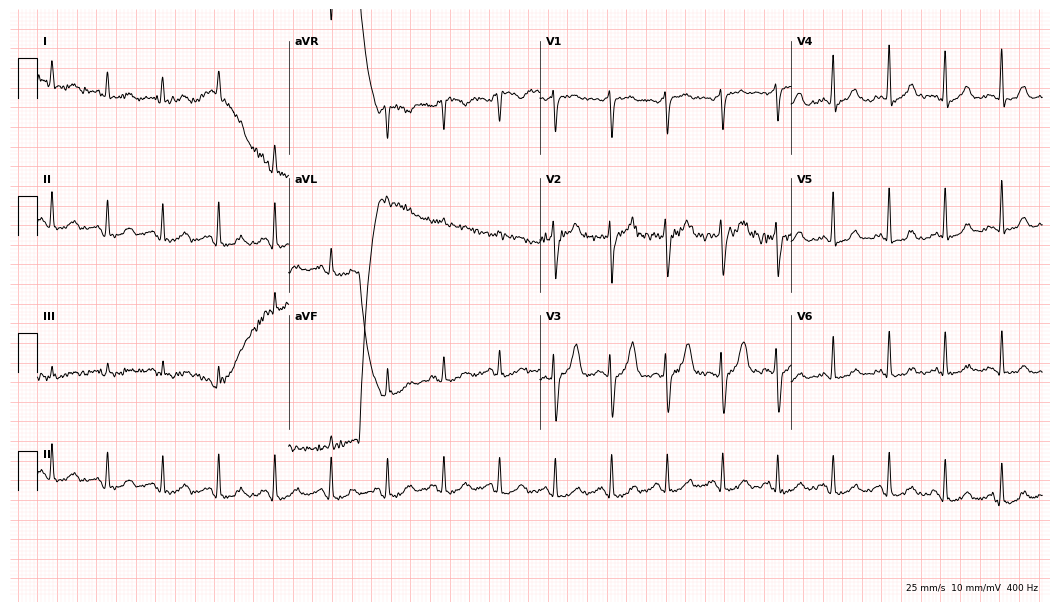
Electrocardiogram, a 52-year-old woman. Interpretation includes sinus tachycardia (a sinus rate of 100 beats per minute or more).